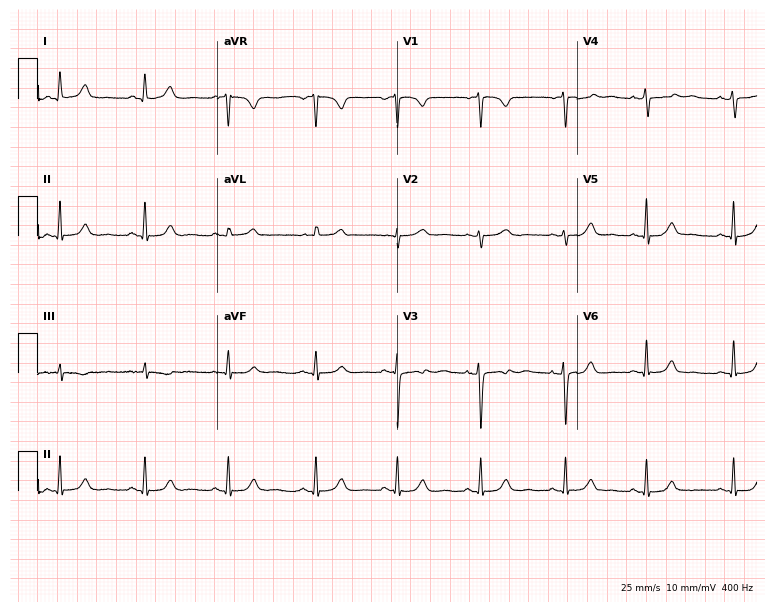
12-lead ECG (7.3-second recording at 400 Hz) from a 30-year-old female patient. Screened for six findings — first-degree AV block, right bundle branch block, left bundle branch block, sinus bradycardia, atrial fibrillation, sinus tachycardia — none is recorded. Other findings, if any, are not listed.